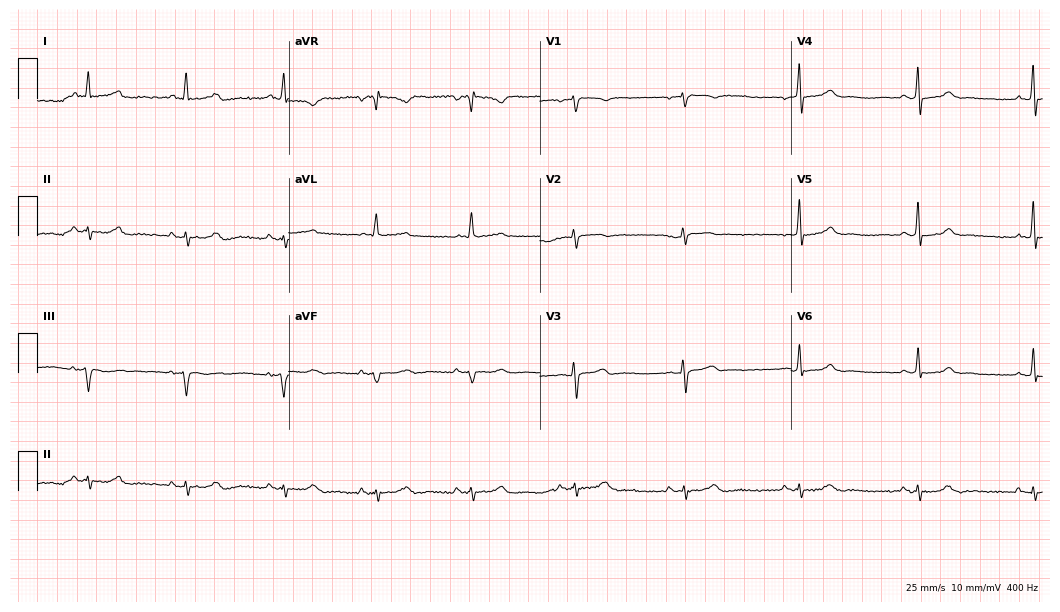
Resting 12-lead electrocardiogram. Patient: a female, 51 years old. Read as a normal ECG.